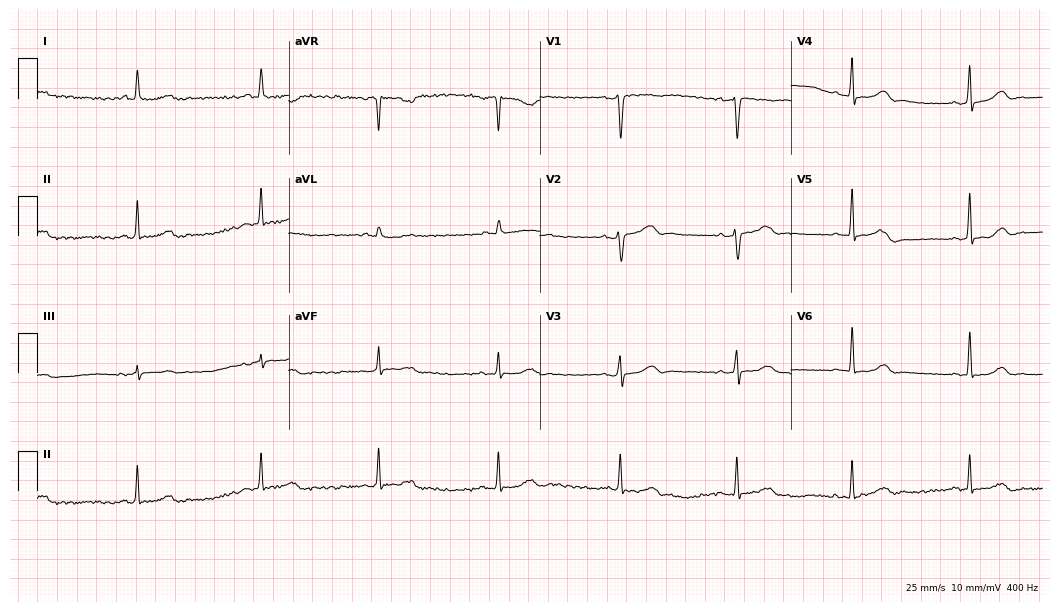
ECG (10.2-second recording at 400 Hz) — a woman, 48 years old. Labelled as a normal ECG.